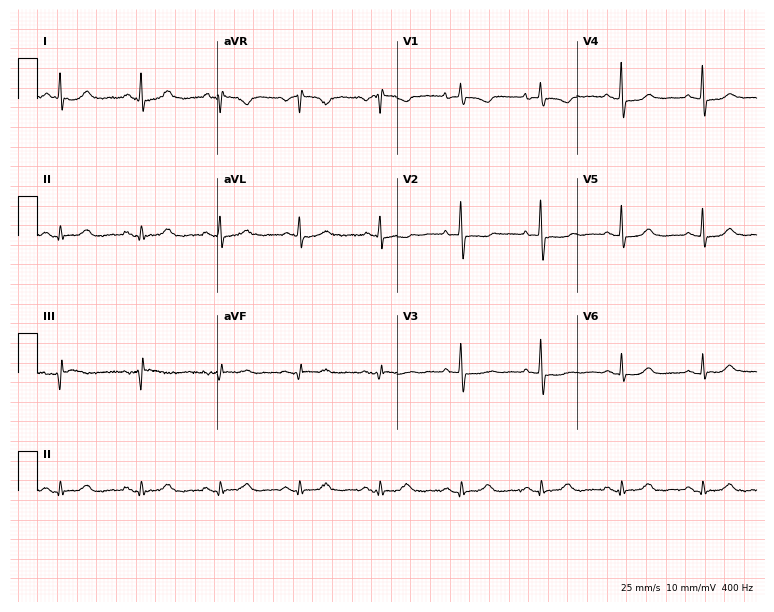
ECG (7.3-second recording at 400 Hz) — a woman, 58 years old. Screened for six findings — first-degree AV block, right bundle branch block, left bundle branch block, sinus bradycardia, atrial fibrillation, sinus tachycardia — none is recorded. Findings outside these six are not listed.